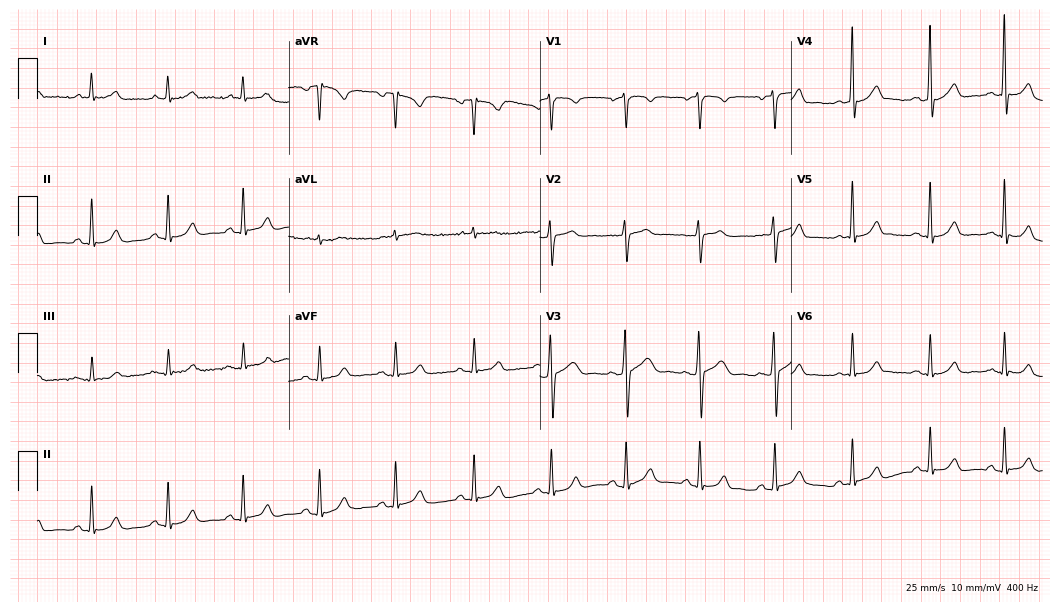
Standard 12-lead ECG recorded from a 48-year-old male (10.2-second recording at 400 Hz). Read as a normal ECG.